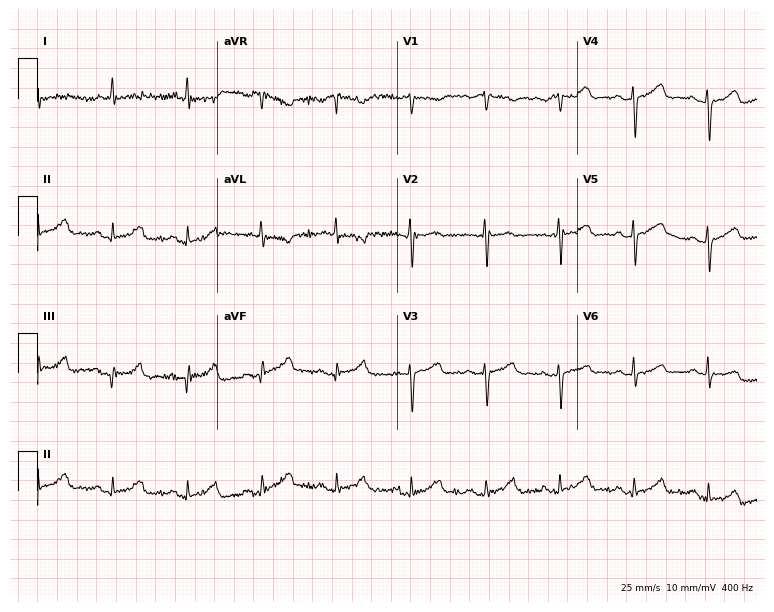
Resting 12-lead electrocardiogram. Patient: a 60-year-old woman. Read as a normal ECG.